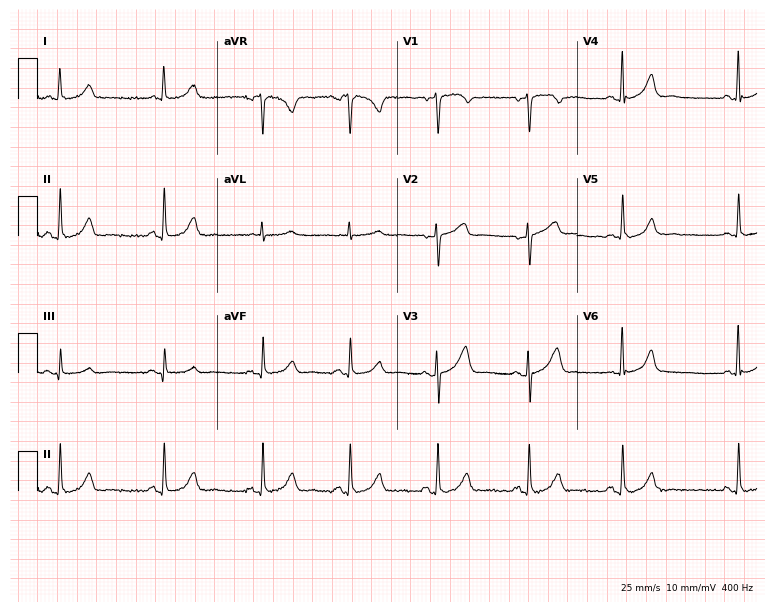
12-lead ECG from a woman, 52 years old (7.3-second recording at 400 Hz). Recorded interpretation: within normal limits.